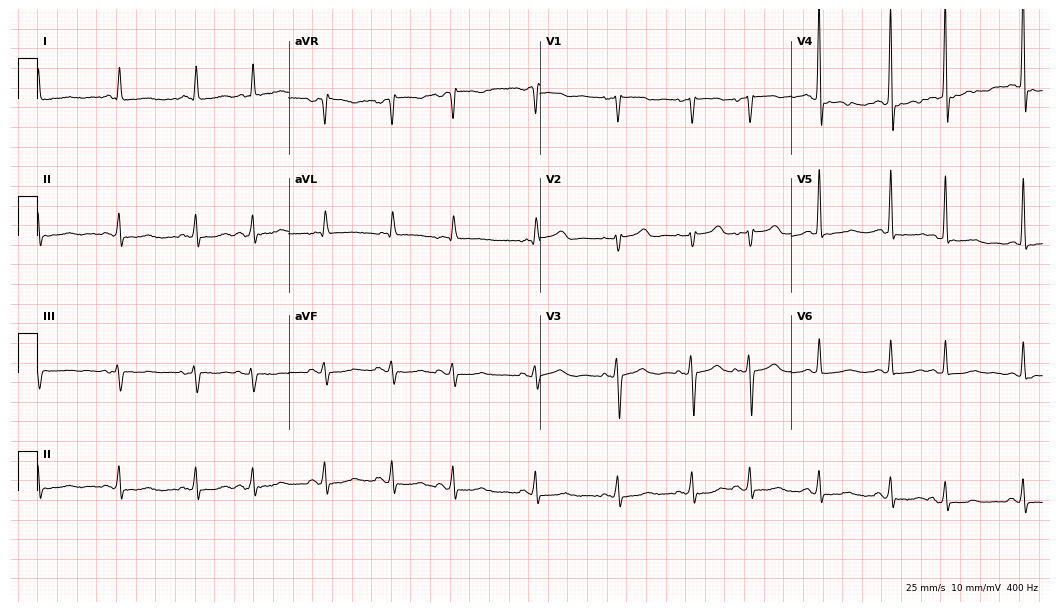
Resting 12-lead electrocardiogram (10.2-second recording at 400 Hz). Patient: a woman, 76 years old. None of these six findings is recorded: first-degree AV block, right bundle branch block, left bundle branch block, sinus bradycardia, atrial fibrillation, sinus tachycardia.